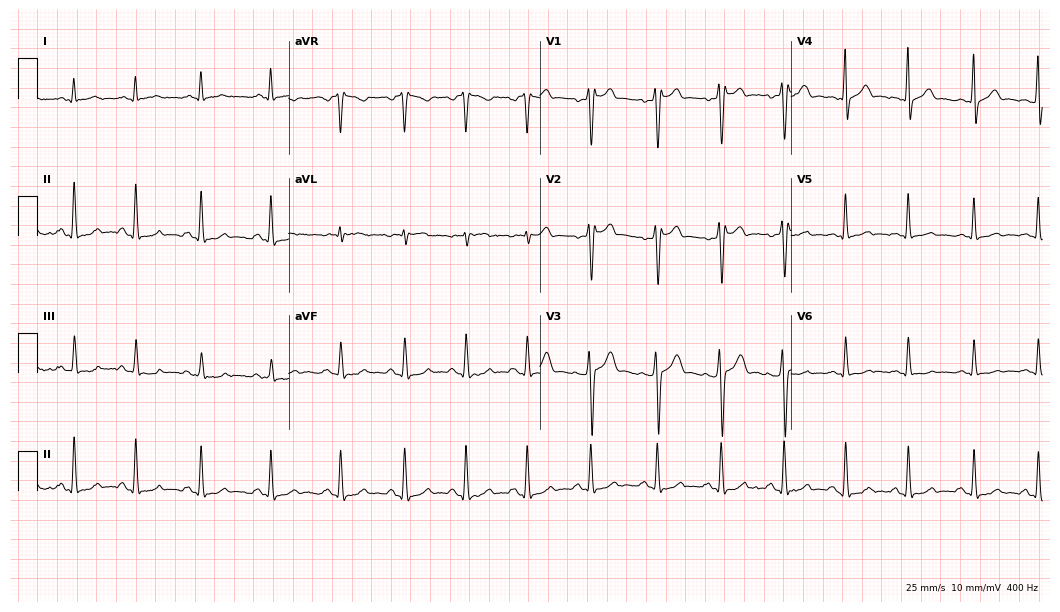
Resting 12-lead electrocardiogram. Patient: a male, 34 years old. None of these six findings is recorded: first-degree AV block, right bundle branch block, left bundle branch block, sinus bradycardia, atrial fibrillation, sinus tachycardia.